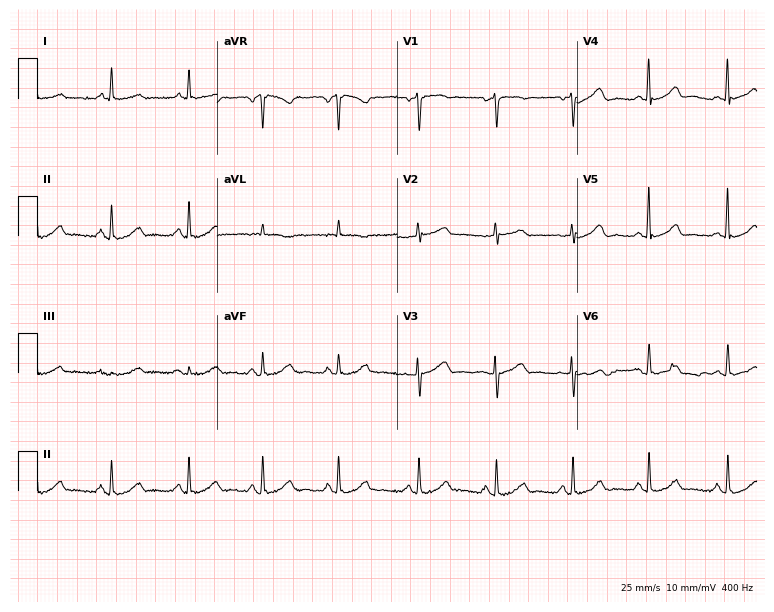
12-lead ECG from a 68-year-old female patient (7.3-second recording at 400 Hz). Recorded interpretation: within normal limits.